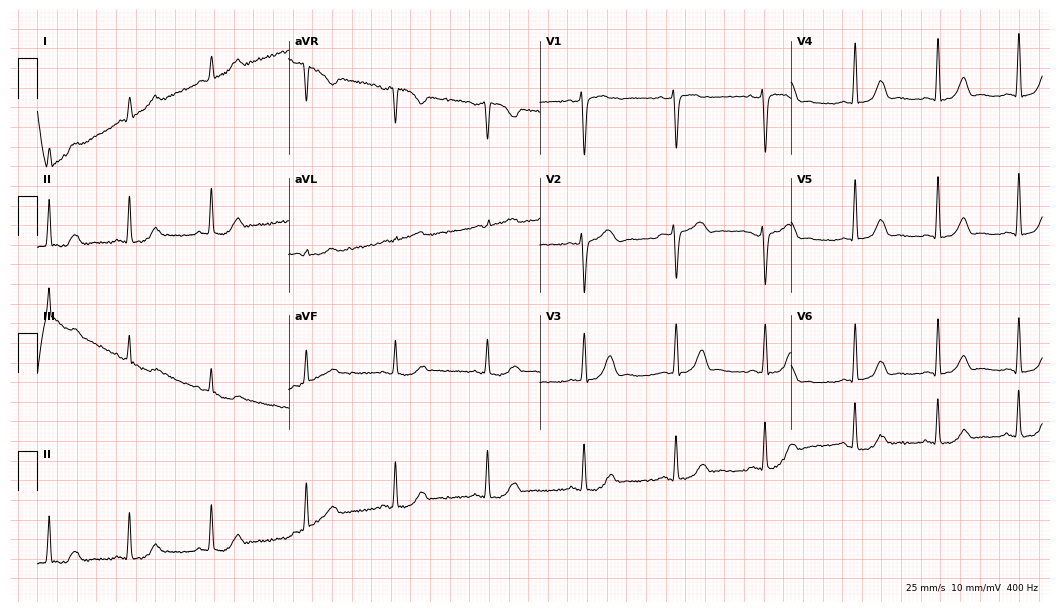
Standard 12-lead ECG recorded from a woman, 40 years old. None of these six findings is recorded: first-degree AV block, right bundle branch block (RBBB), left bundle branch block (LBBB), sinus bradycardia, atrial fibrillation (AF), sinus tachycardia.